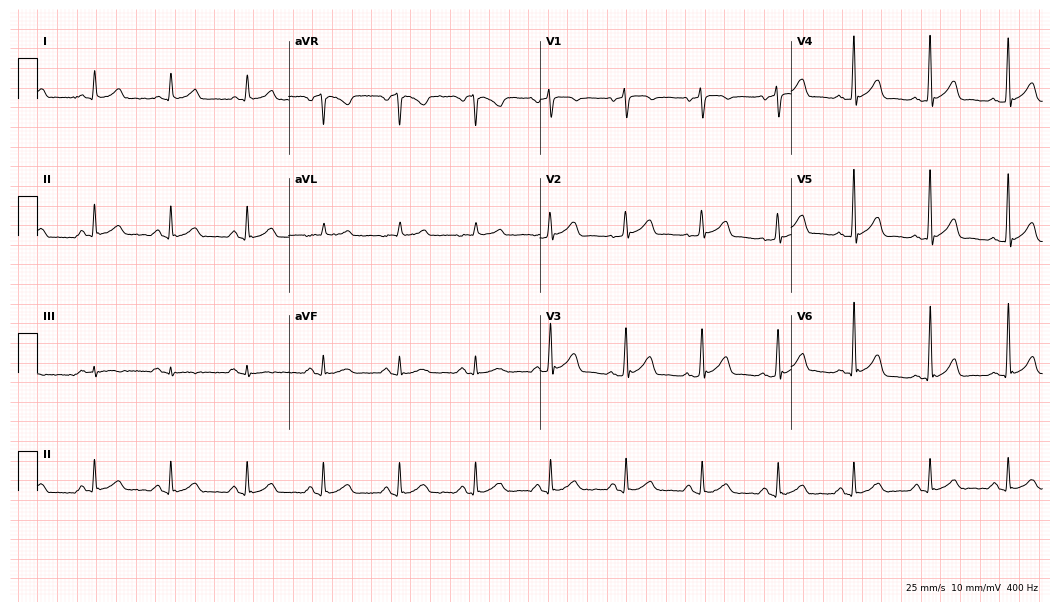
12-lead ECG from a male, 54 years old. Recorded interpretation: within normal limits.